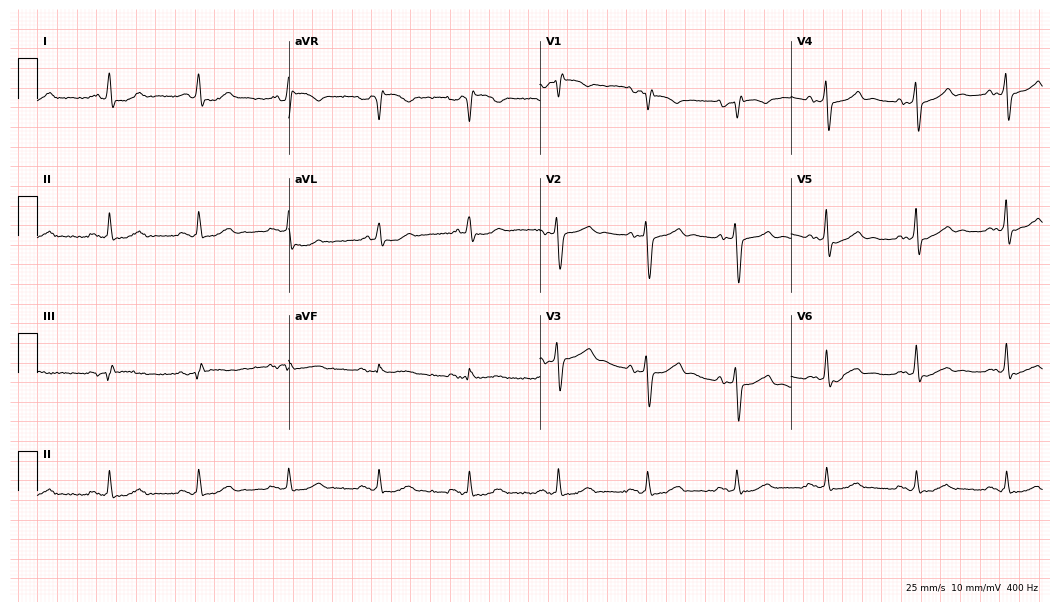
Resting 12-lead electrocardiogram. Patient: a male, 79 years old. None of these six findings is recorded: first-degree AV block, right bundle branch block, left bundle branch block, sinus bradycardia, atrial fibrillation, sinus tachycardia.